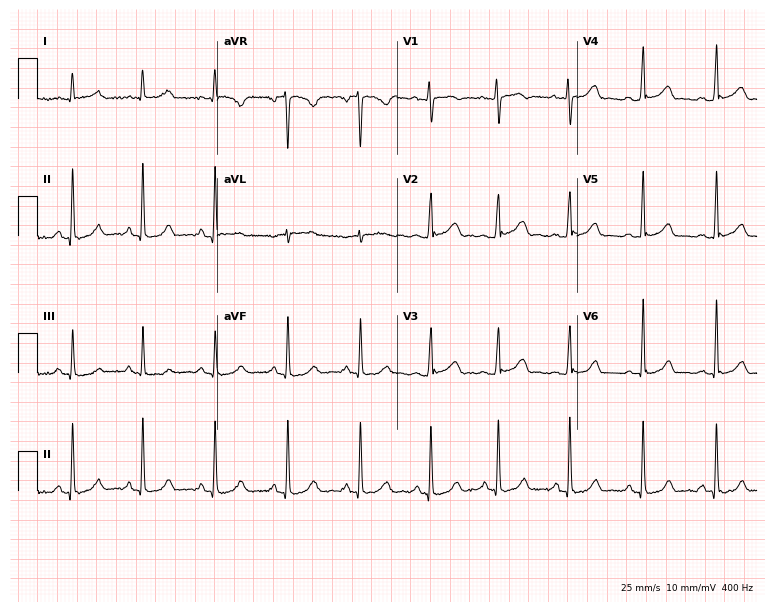
Standard 12-lead ECG recorded from a 47-year-old female patient (7.3-second recording at 400 Hz). None of these six findings is recorded: first-degree AV block, right bundle branch block, left bundle branch block, sinus bradycardia, atrial fibrillation, sinus tachycardia. Other findings, if any, are not listed.